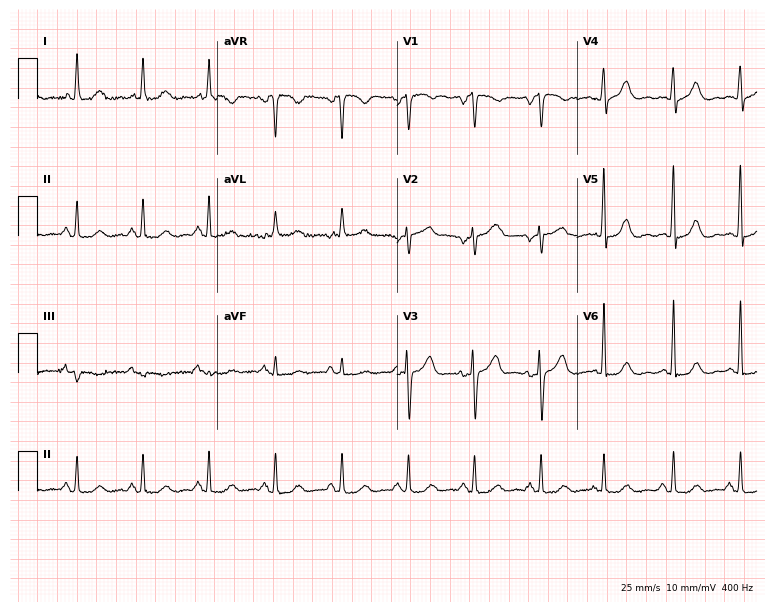
Resting 12-lead electrocardiogram. Patient: a female, 79 years old. None of these six findings is recorded: first-degree AV block, right bundle branch block (RBBB), left bundle branch block (LBBB), sinus bradycardia, atrial fibrillation (AF), sinus tachycardia.